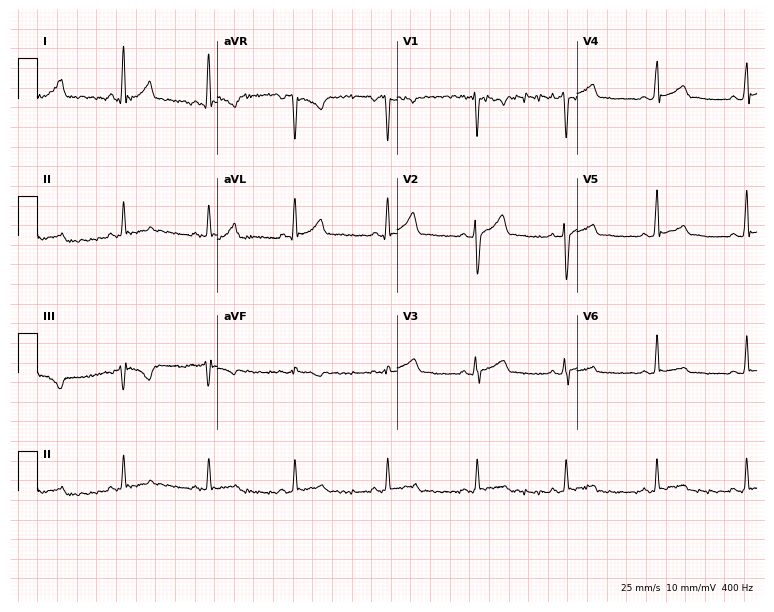
12-lead ECG from a 24-year-old male patient. Labelled as a normal ECG.